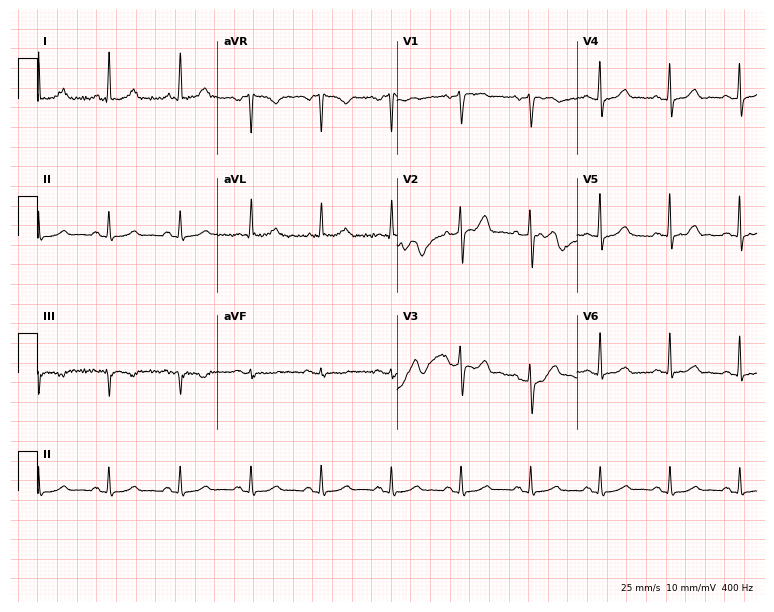
12-lead ECG from a man, 85 years old (7.3-second recording at 400 Hz). No first-degree AV block, right bundle branch block, left bundle branch block, sinus bradycardia, atrial fibrillation or sinus tachycardia recorded for this tracing.